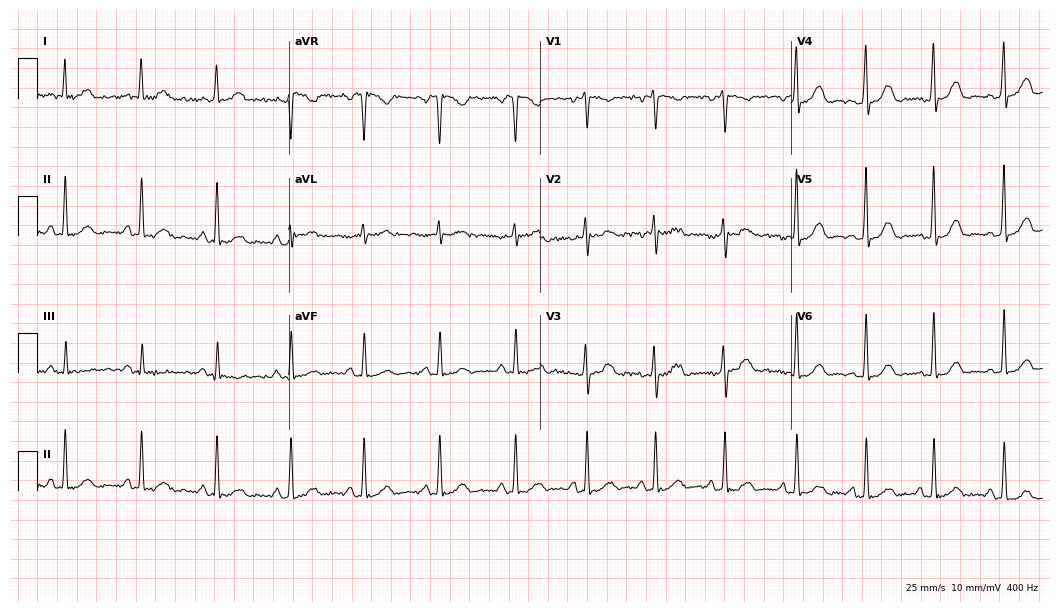
Standard 12-lead ECG recorded from a female, 31 years old (10.2-second recording at 400 Hz). None of these six findings is recorded: first-degree AV block, right bundle branch block, left bundle branch block, sinus bradycardia, atrial fibrillation, sinus tachycardia.